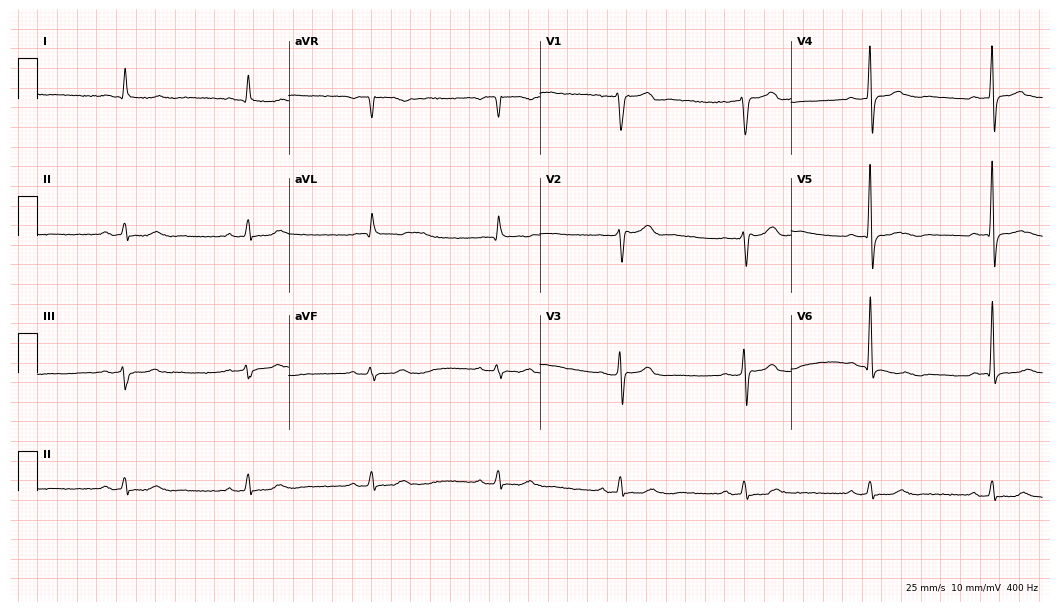
Electrocardiogram, a 72-year-old man. Interpretation includes sinus bradycardia (a sinus rate of 50 beats per minute or less).